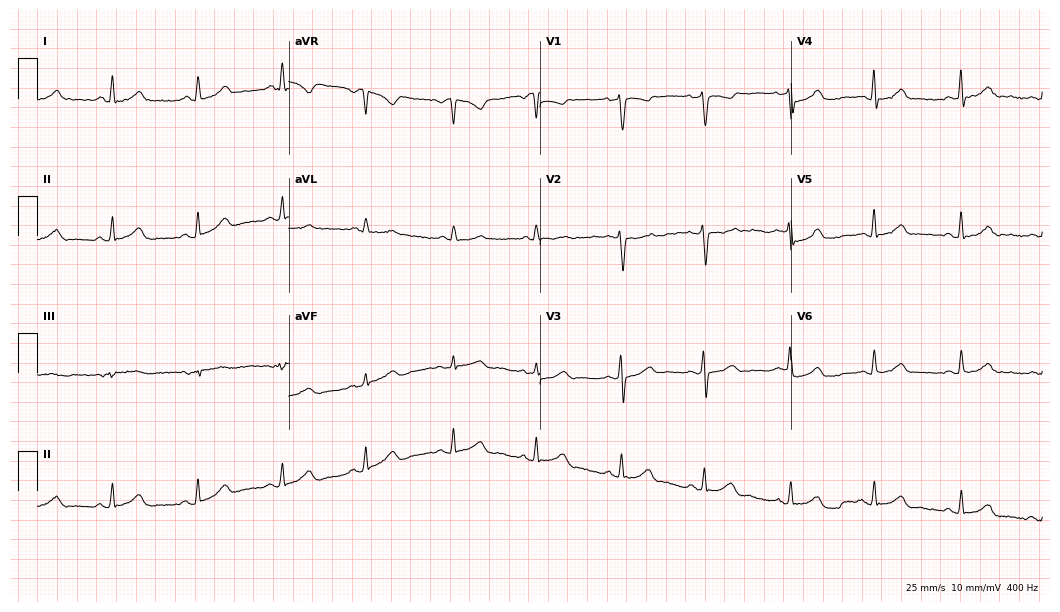
Electrocardiogram, a 48-year-old woman. Overall reading on record: normal ECG.